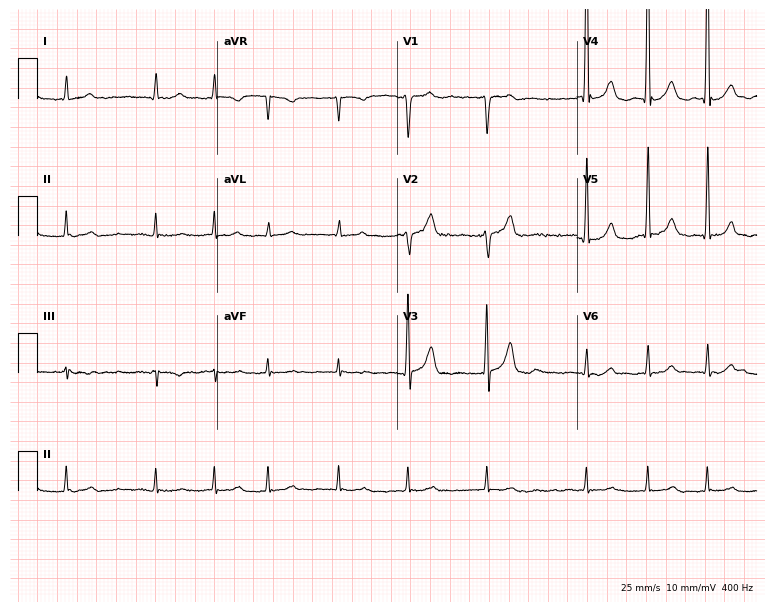
Electrocardiogram, an 84-year-old male patient. Interpretation includes atrial fibrillation.